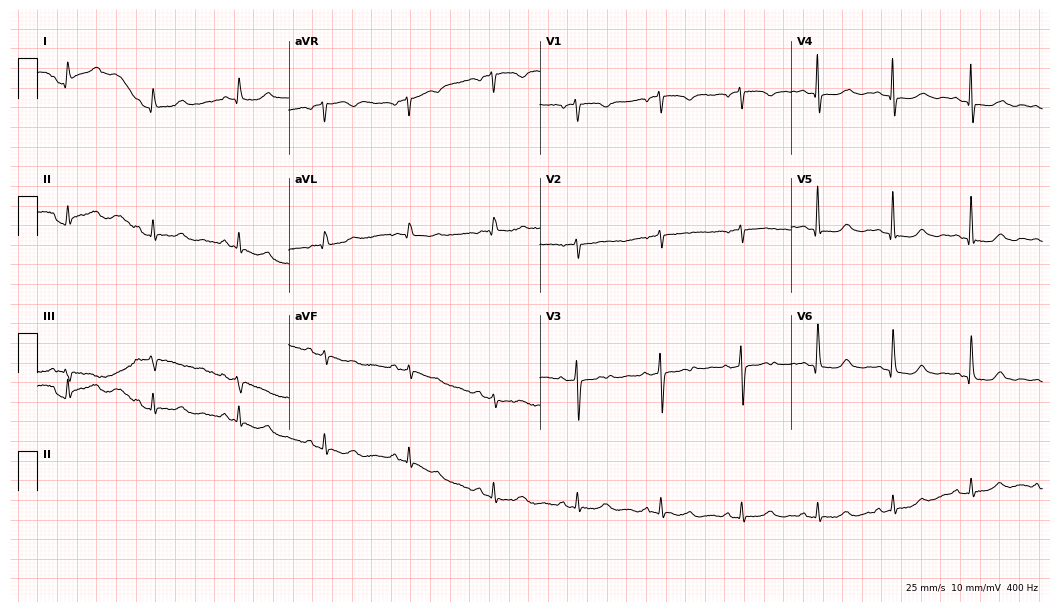
12-lead ECG from a 61-year-old female patient. No first-degree AV block, right bundle branch block (RBBB), left bundle branch block (LBBB), sinus bradycardia, atrial fibrillation (AF) or sinus tachycardia recorded for this tracing.